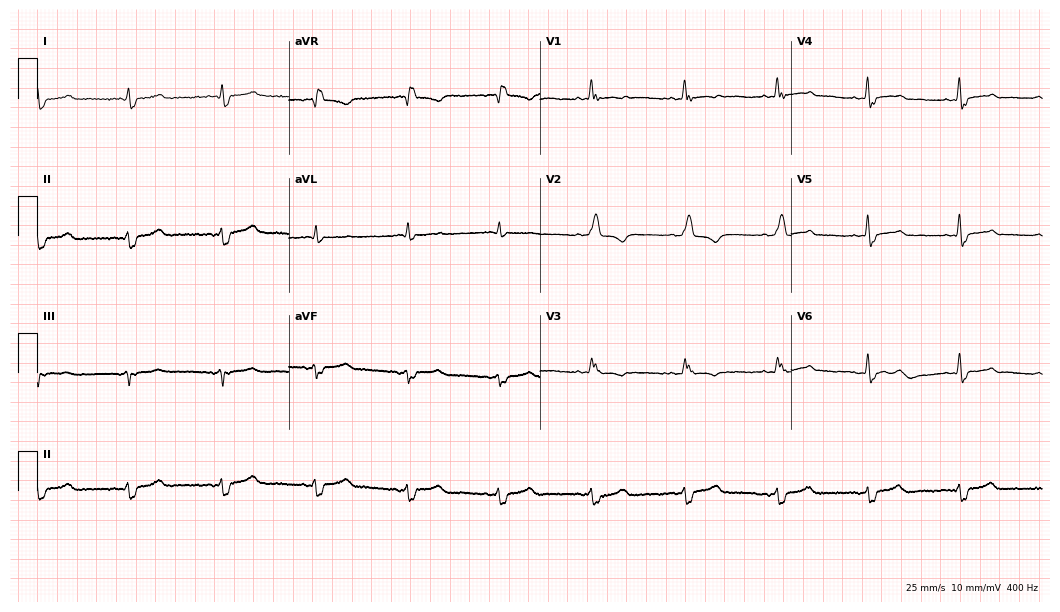
Standard 12-lead ECG recorded from a female patient, 69 years old (10.2-second recording at 400 Hz). The tracing shows right bundle branch block.